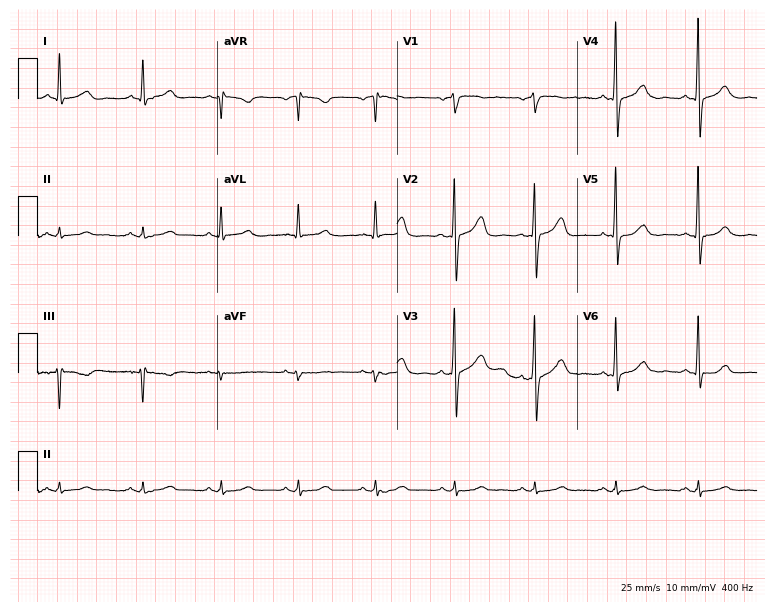
Standard 12-lead ECG recorded from a 55-year-old man. Read as a normal ECG.